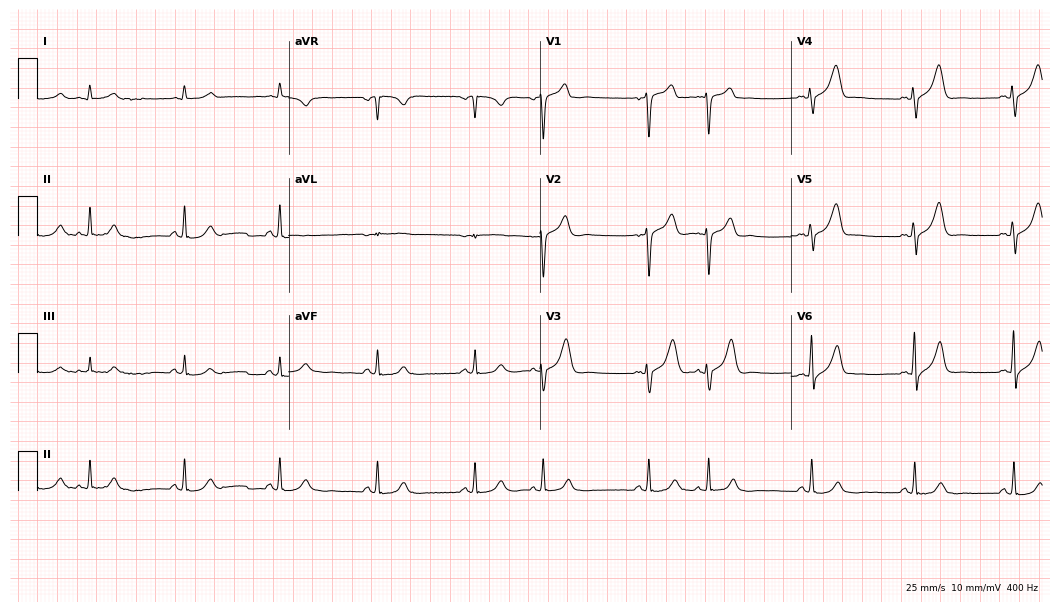
Electrocardiogram, a man, 61 years old. Of the six screened findings (first-degree AV block, right bundle branch block (RBBB), left bundle branch block (LBBB), sinus bradycardia, atrial fibrillation (AF), sinus tachycardia), none is recorded.